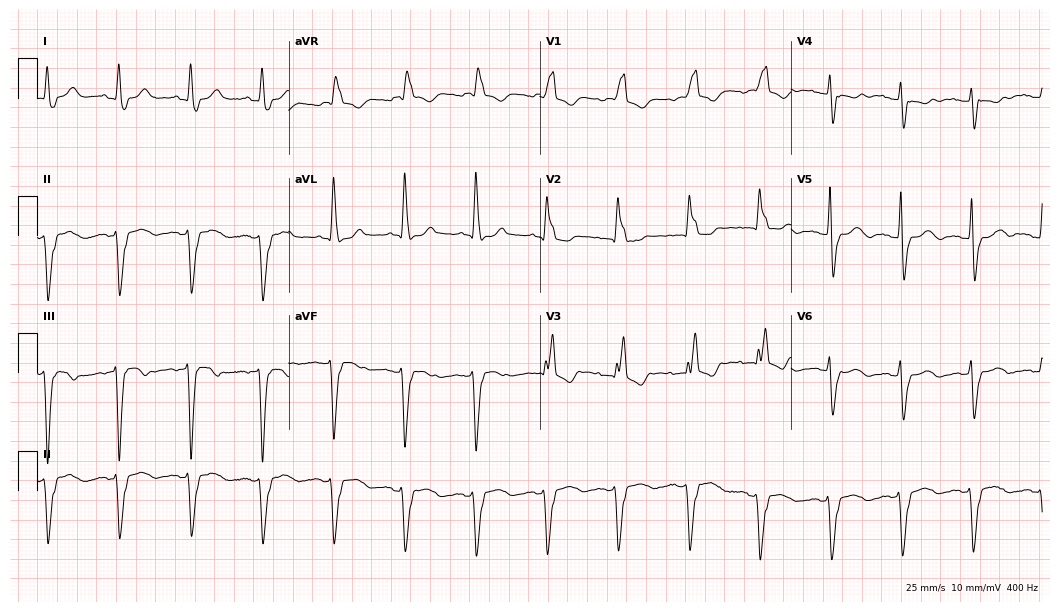
Resting 12-lead electrocardiogram (10.2-second recording at 400 Hz). Patient: a female, 79 years old. The tracing shows right bundle branch block.